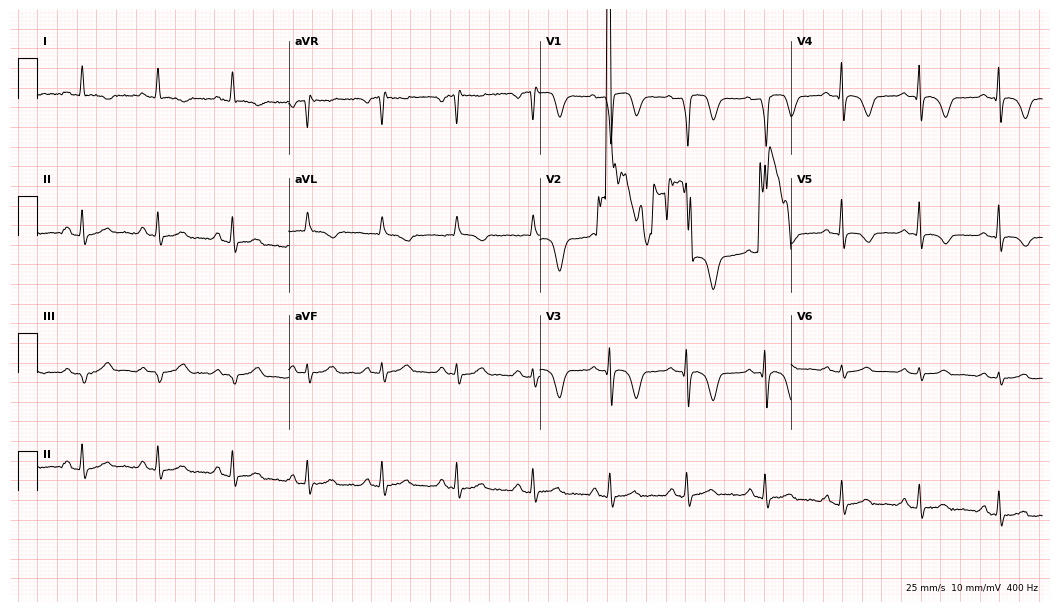
ECG (10.2-second recording at 400 Hz) — a 54-year-old male. Screened for six findings — first-degree AV block, right bundle branch block, left bundle branch block, sinus bradycardia, atrial fibrillation, sinus tachycardia — none is recorded. Only these six findings were labelled.